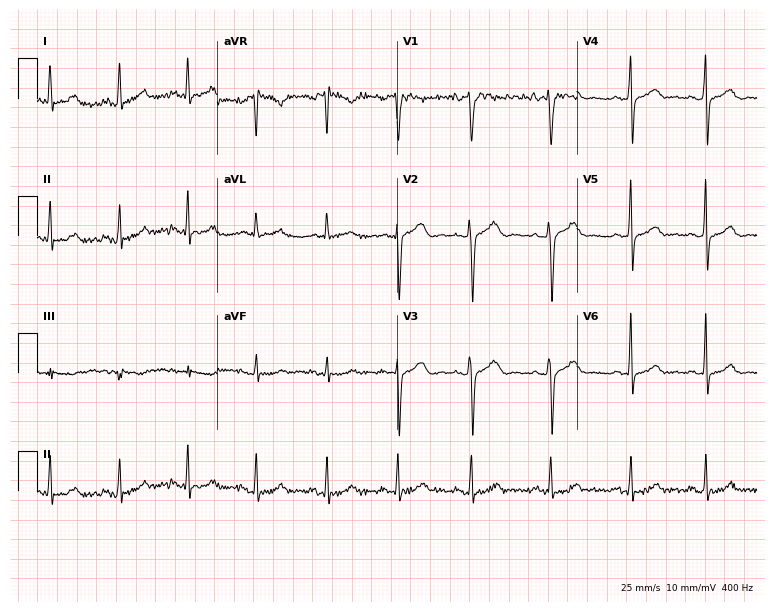
12-lead ECG (7.3-second recording at 400 Hz) from a 34-year-old woman. Labelled as a normal ECG.